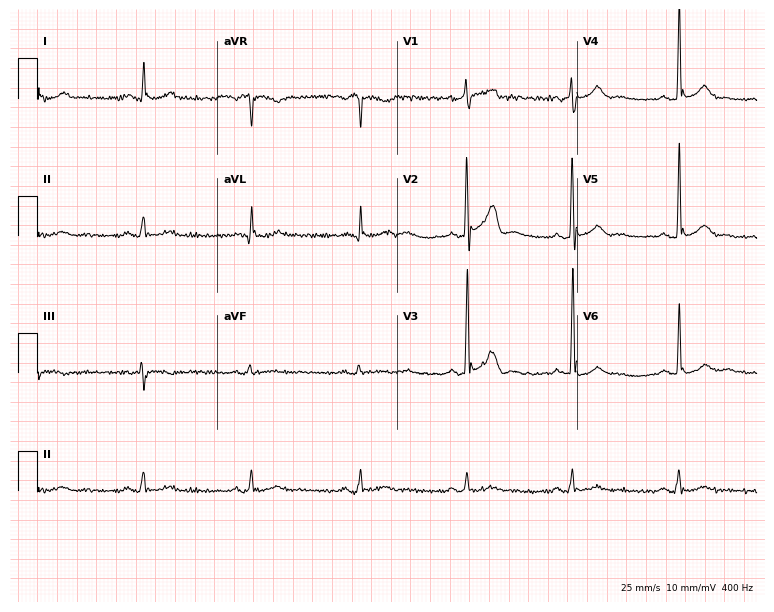
ECG — a 41-year-old male patient. Screened for six findings — first-degree AV block, right bundle branch block, left bundle branch block, sinus bradycardia, atrial fibrillation, sinus tachycardia — none is recorded.